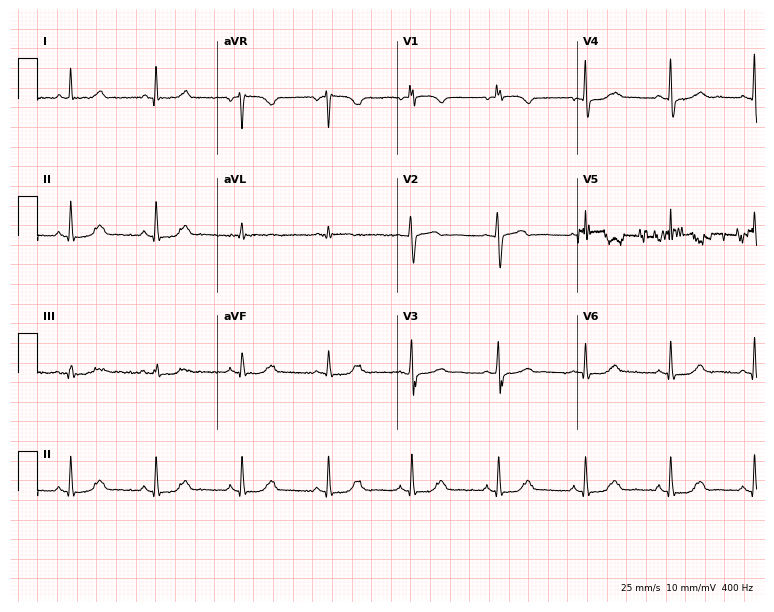
Electrocardiogram (7.3-second recording at 400 Hz), a female, 57 years old. Overall reading on record: normal ECG.